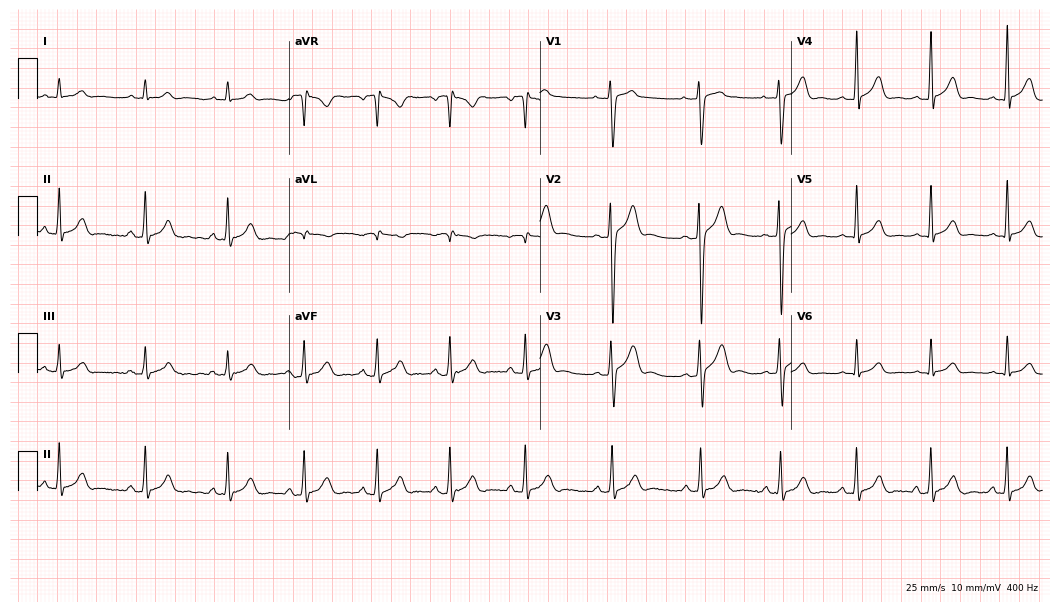
Resting 12-lead electrocardiogram. Patient: a male, 20 years old. Read as a normal ECG.